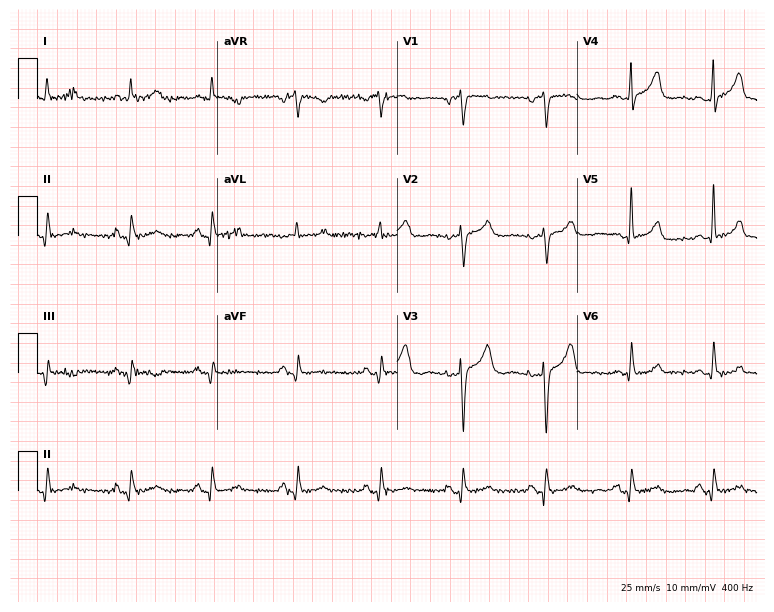
Resting 12-lead electrocardiogram. Patient: a female, 74 years old. Read as a normal ECG.